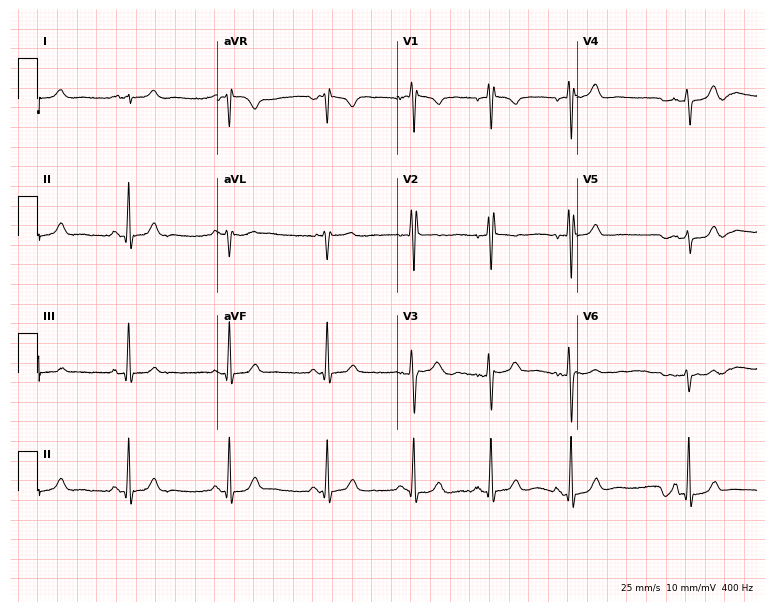
ECG — a male, 27 years old. Screened for six findings — first-degree AV block, right bundle branch block, left bundle branch block, sinus bradycardia, atrial fibrillation, sinus tachycardia — none is recorded.